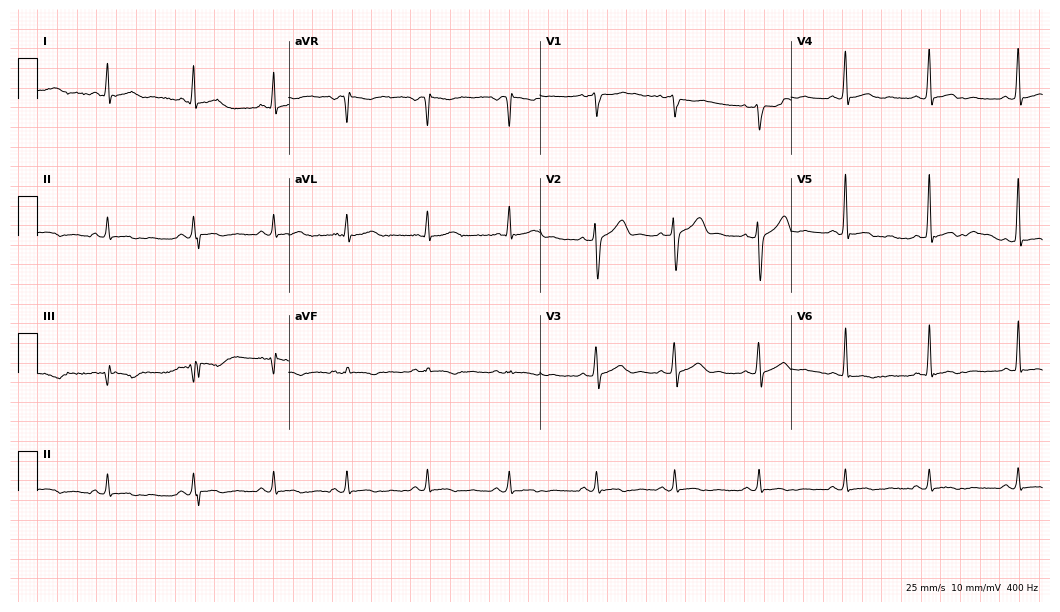
Resting 12-lead electrocardiogram. Patient: a 37-year-old male. None of these six findings is recorded: first-degree AV block, right bundle branch block, left bundle branch block, sinus bradycardia, atrial fibrillation, sinus tachycardia.